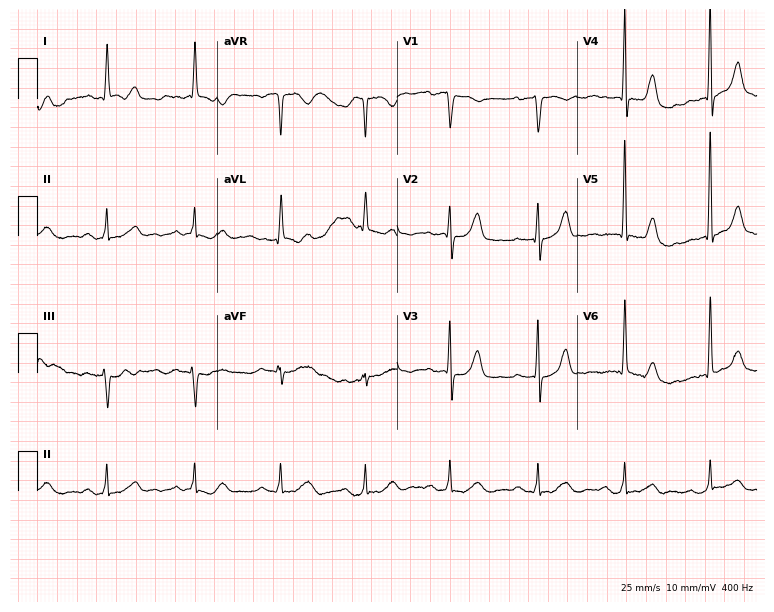
12-lead ECG (7.3-second recording at 400 Hz) from a female patient, 82 years old. Screened for six findings — first-degree AV block, right bundle branch block, left bundle branch block, sinus bradycardia, atrial fibrillation, sinus tachycardia — none is recorded. Other findings, if any, are not listed.